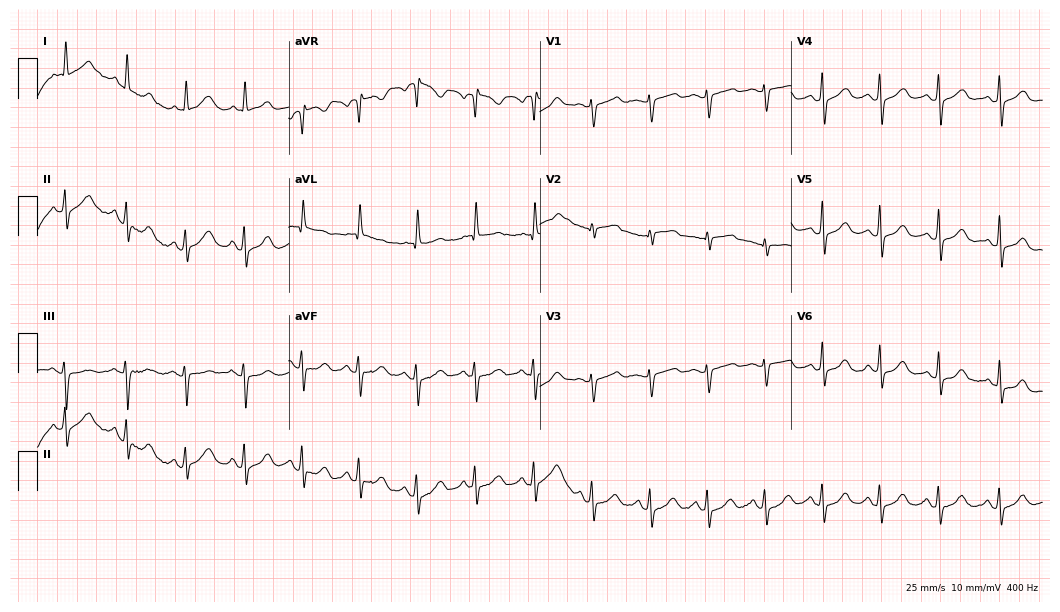
12-lead ECG from a 46-year-old female patient. Shows sinus tachycardia (a sinus rate of 100 beats per minute or more).